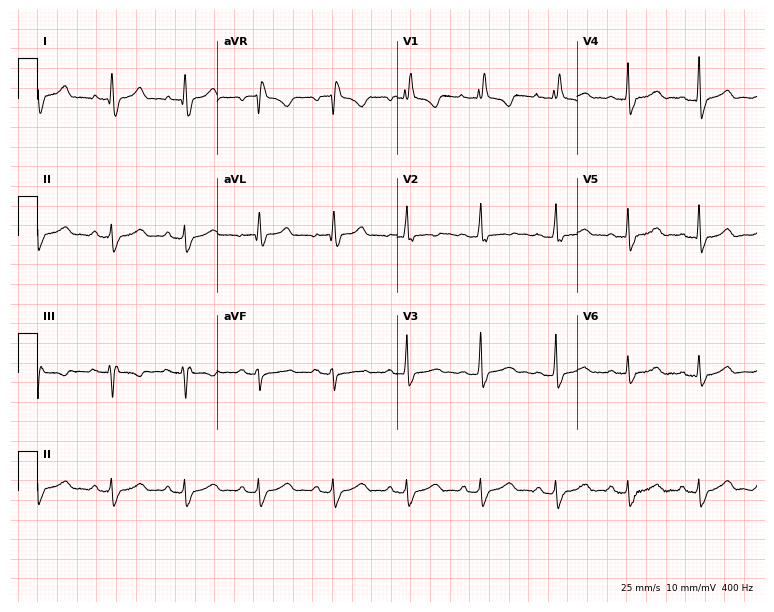
ECG (7.3-second recording at 400 Hz) — a woman, 45 years old. Findings include right bundle branch block (RBBB).